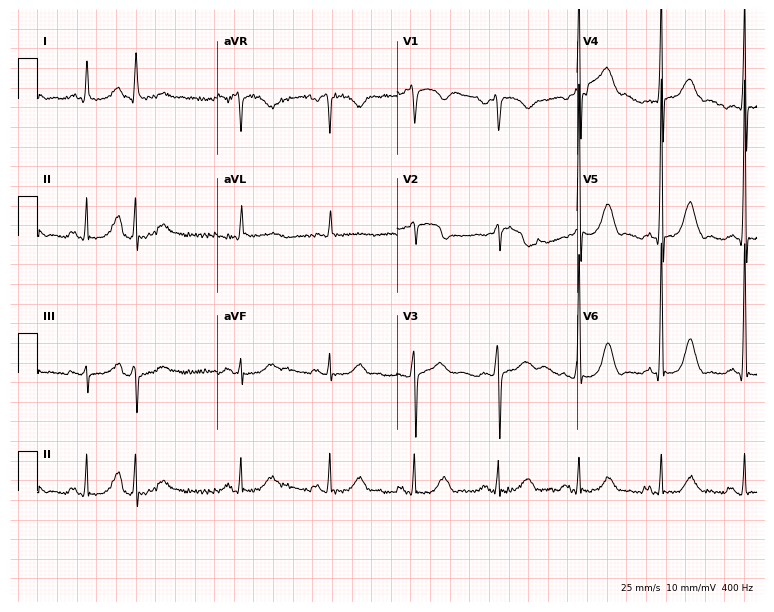
ECG — a 77-year-old man. Screened for six findings — first-degree AV block, right bundle branch block (RBBB), left bundle branch block (LBBB), sinus bradycardia, atrial fibrillation (AF), sinus tachycardia — none is recorded.